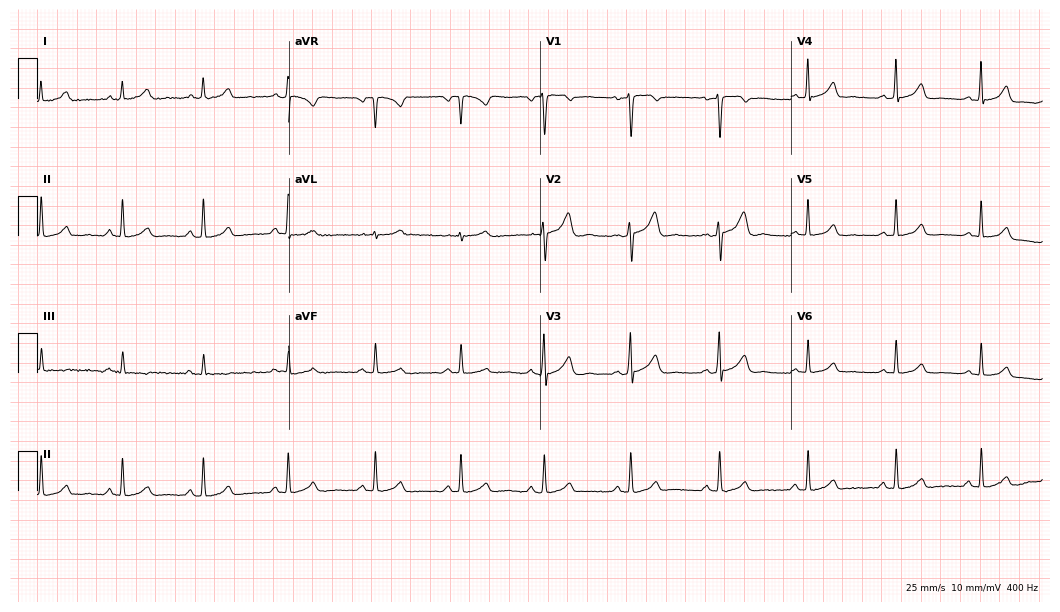
Electrocardiogram (10.2-second recording at 400 Hz), a female patient, 32 years old. Overall reading on record: normal ECG.